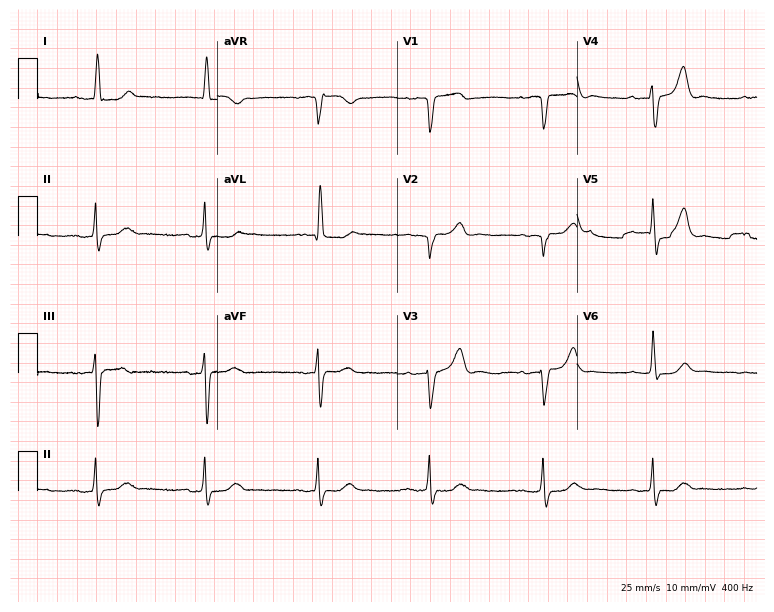
ECG (7.3-second recording at 400 Hz) — an 84-year-old female patient. Screened for six findings — first-degree AV block, right bundle branch block, left bundle branch block, sinus bradycardia, atrial fibrillation, sinus tachycardia — none is recorded.